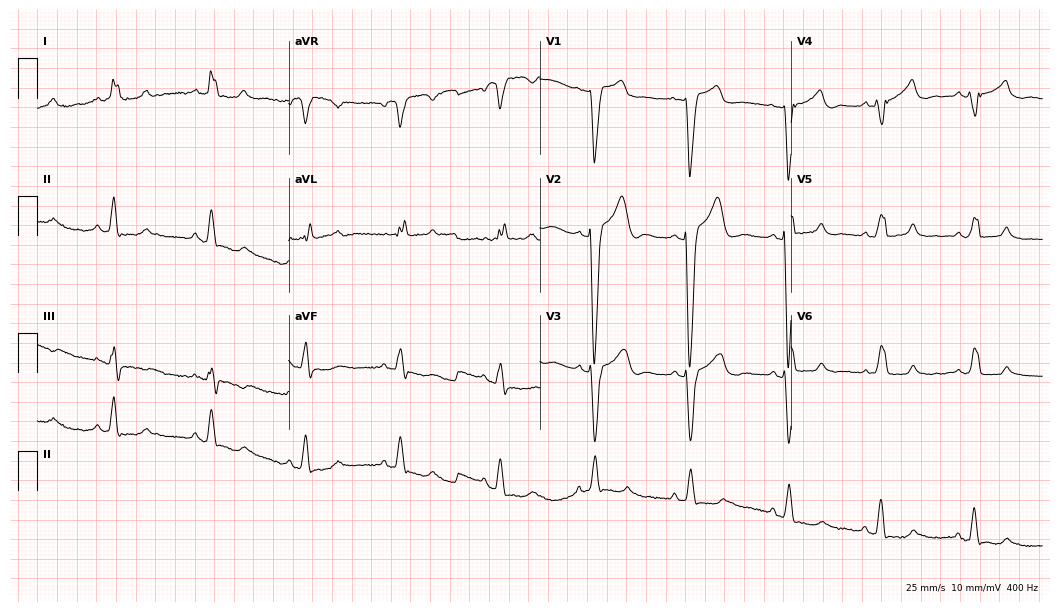
12-lead ECG from a female patient, 55 years old. Shows left bundle branch block.